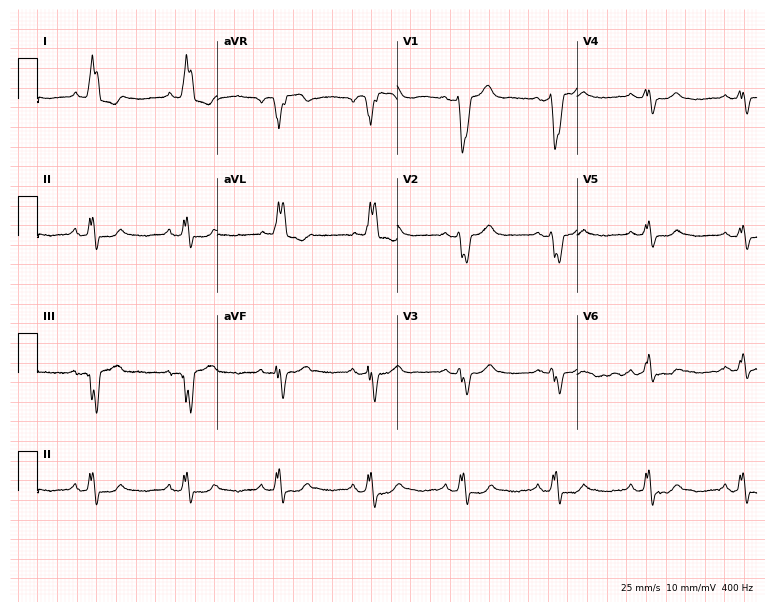
Resting 12-lead electrocardiogram (7.3-second recording at 400 Hz). Patient: a woman, 78 years old. The tracing shows left bundle branch block.